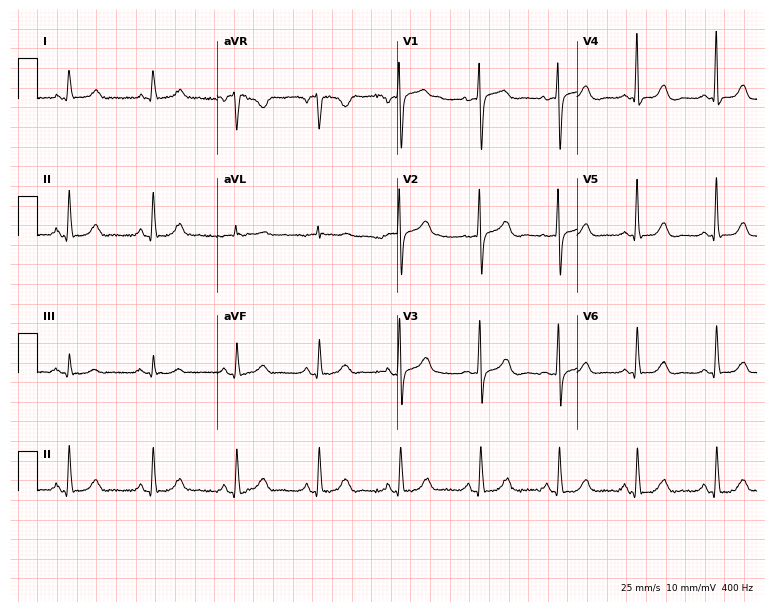
Electrocardiogram (7.3-second recording at 400 Hz), an 81-year-old female. Overall reading on record: normal ECG.